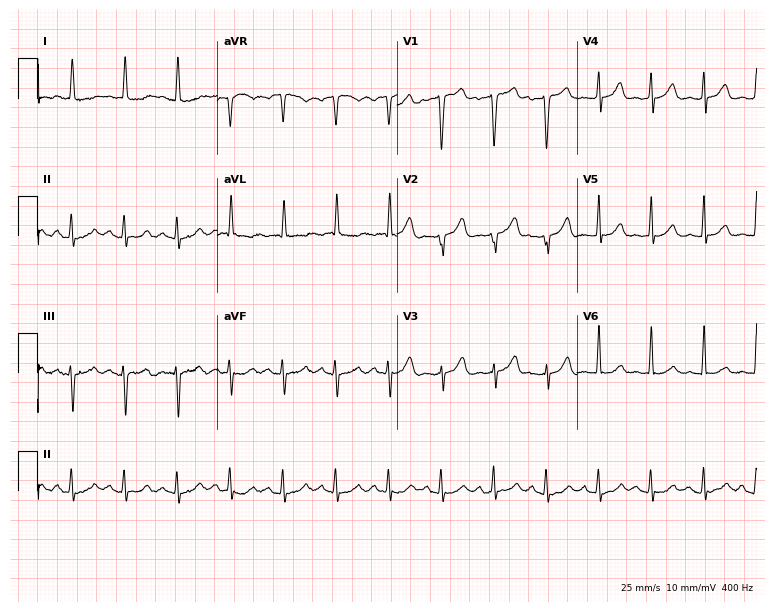
Standard 12-lead ECG recorded from a 72-year-old female. The tracing shows sinus tachycardia (a sinus rate of 100 beats per minute or more).